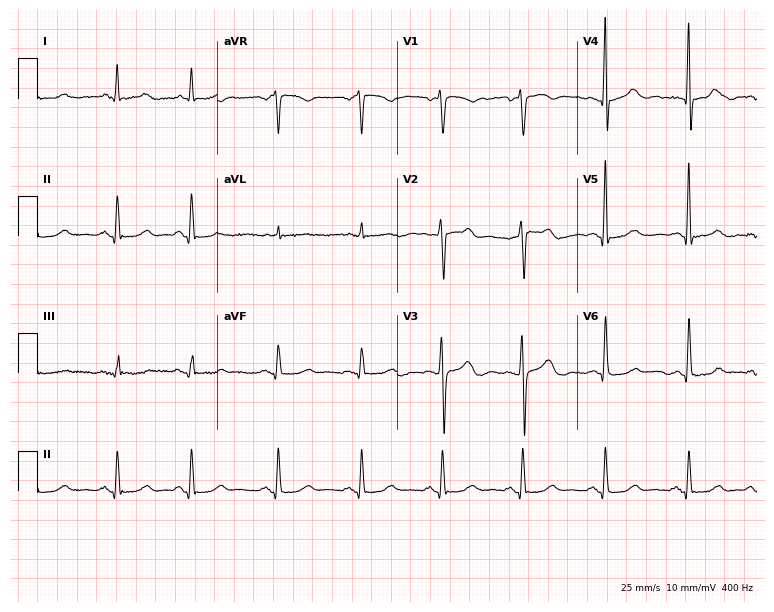
Electrocardiogram, a male patient, 77 years old. Overall reading on record: normal ECG.